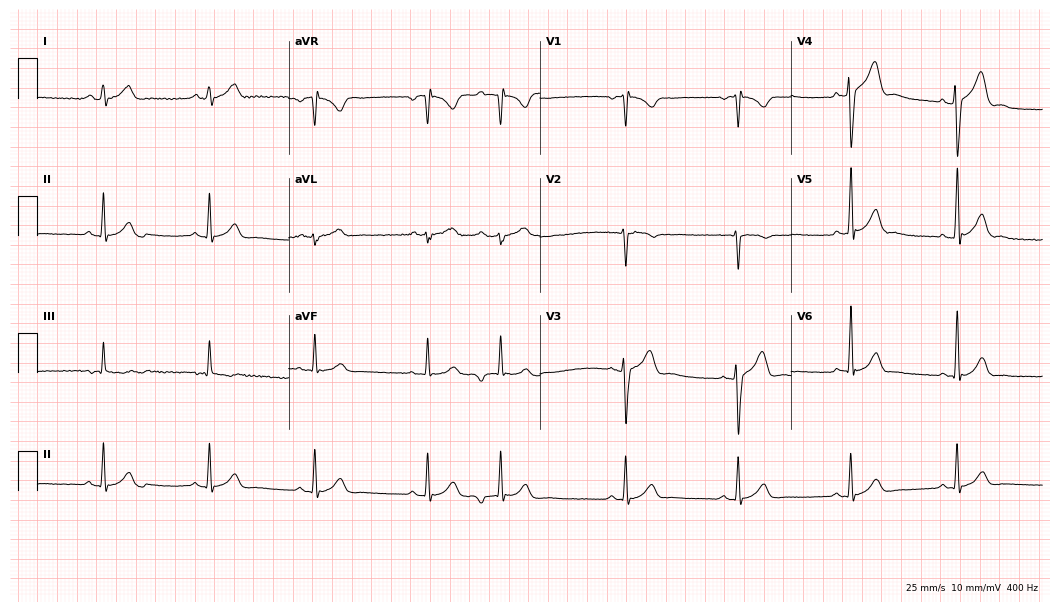
Electrocardiogram, a male patient, 31 years old. Of the six screened findings (first-degree AV block, right bundle branch block (RBBB), left bundle branch block (LBBB), sinus bradycardia, atrial fibrillation (AF), sinus tachycardia), none is recorded. Other findings, if any, are not listed.